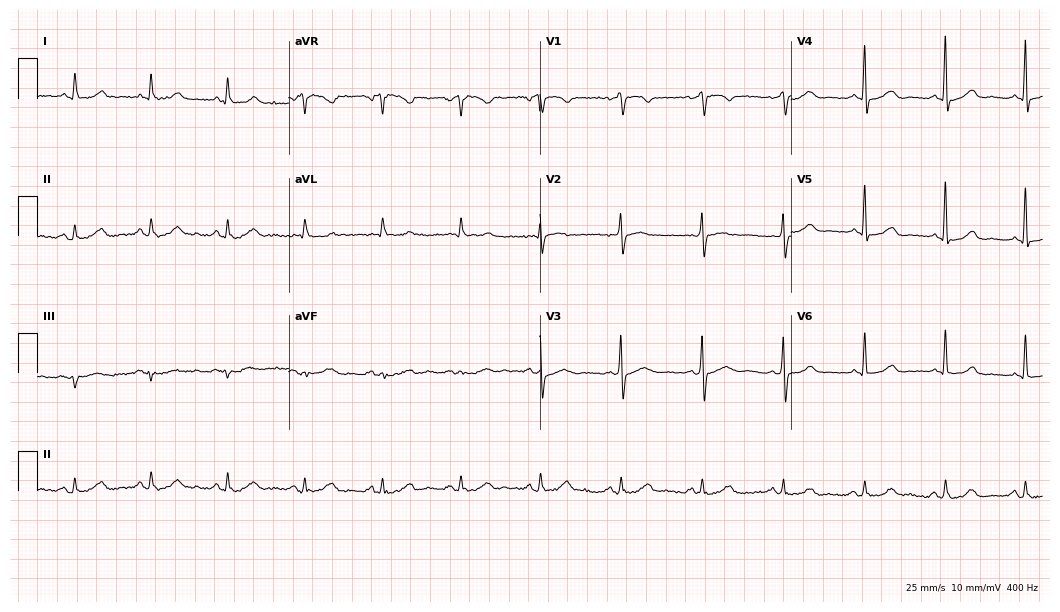
12-lead ECG (10.2-second recording at 400 Hz) from a woman, 67 years old. Labelled as a normal ECG.